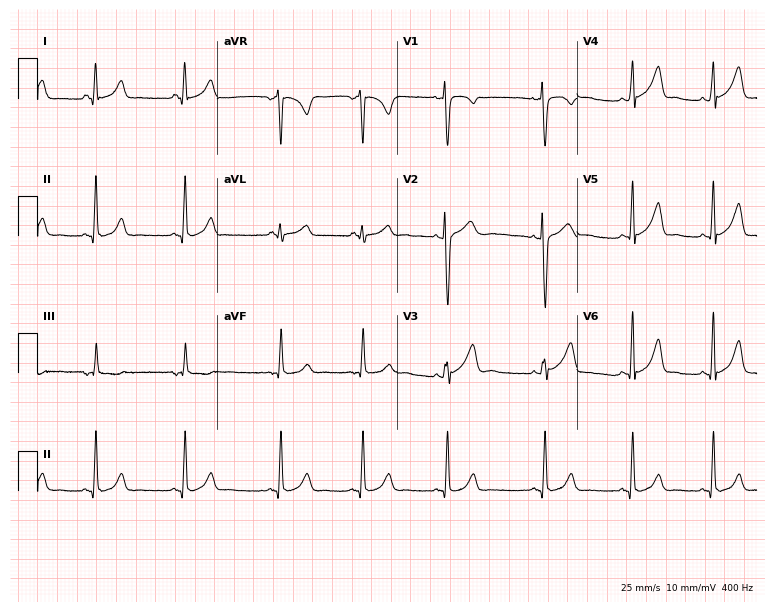
Standard 12-lead ECG recorded from a 24-year-old female patient (7.3-second recording at 400 Hz). None of these six findings is recorded: first-degree AV block, right bundle branch block, left bundle branch block, sinus bradycardia, atrial fibrillation, sinus tachycardia. Only these six findings were labelled.